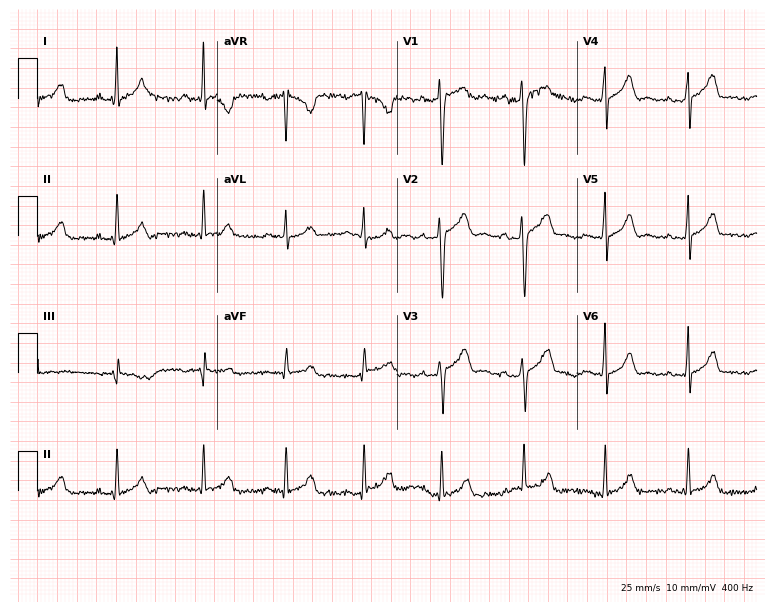
12-lead ECG from a female patient, 22 years old. Recorded interpretation: within normal limits.